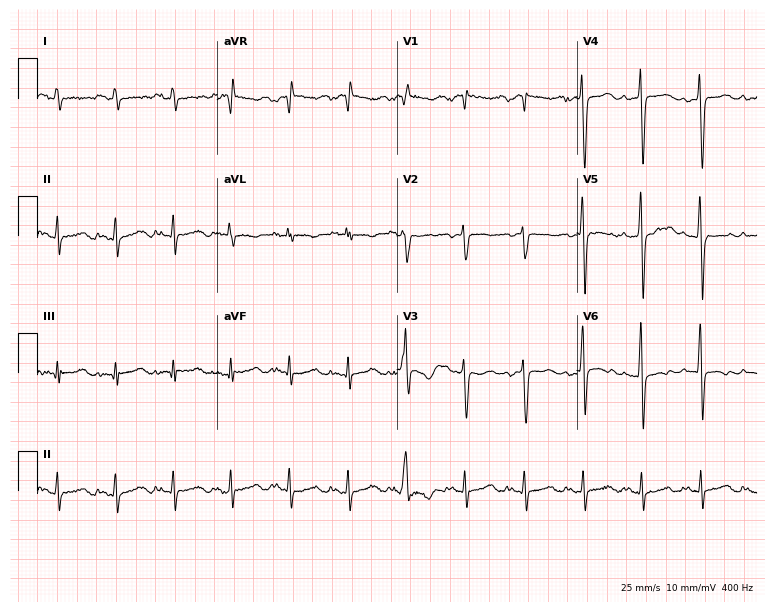
Electrocardiogram, a 49-year-old female. Of the six screened findings (first-degree AV block, right bundle branch block, left bundle branch block, sinus bradycardia, atrial fibrillation, sinus tachycardia), none is recorded. Only these six findings were labelled.